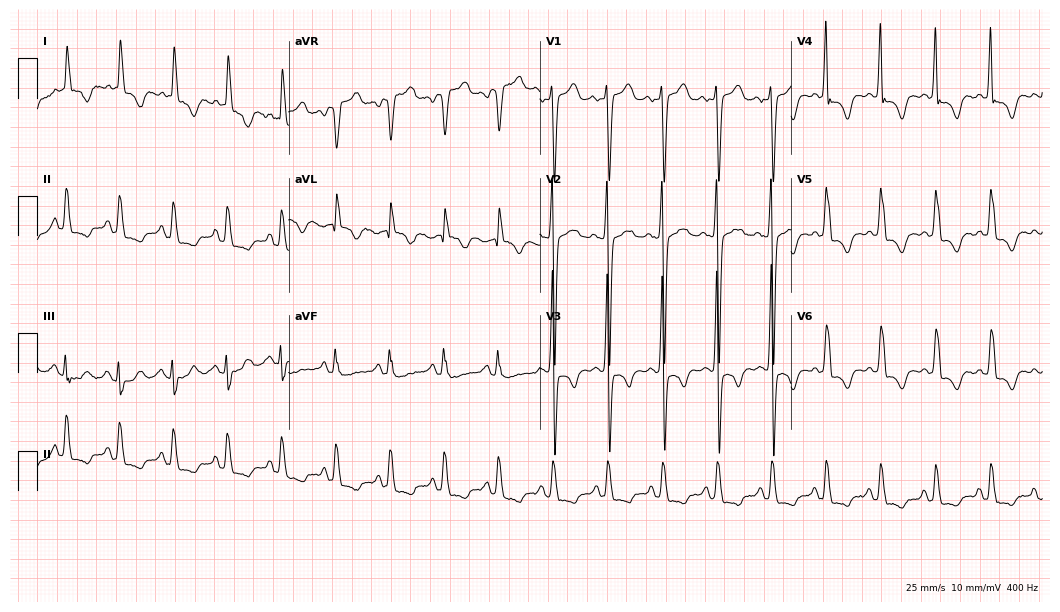
12-lead ECG from a 60-year-old female. Screened for six findings — first-degree AV block, right bundle branch block, left bundle branch block, sinus bradycardia, atrial fibrillation, sinus tachycardia — none is recorded.